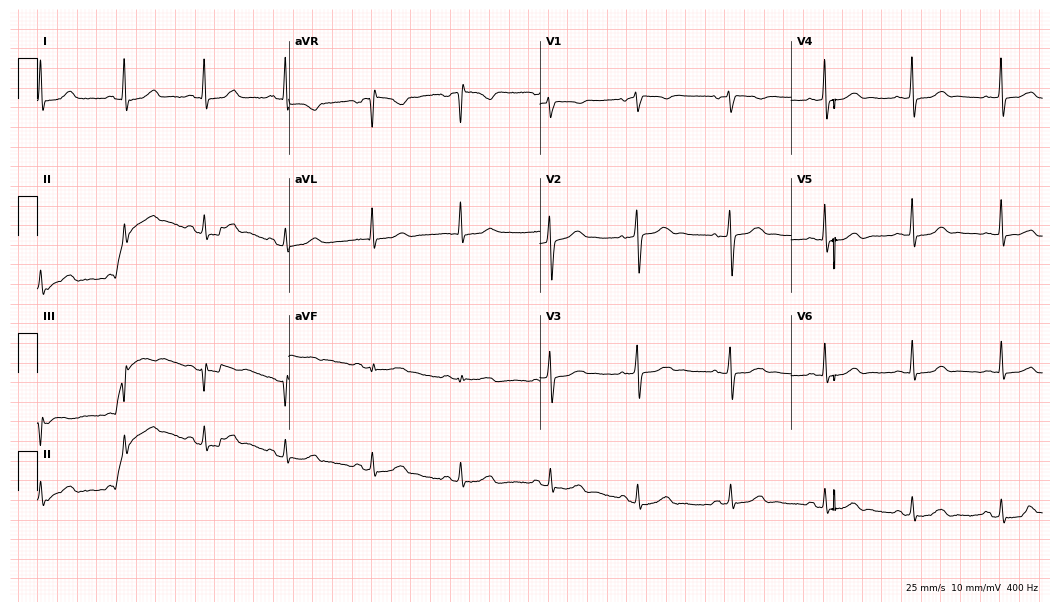
Standard 12-lead ECG recorded from a female, 39 years old. Read as a normal ECG.